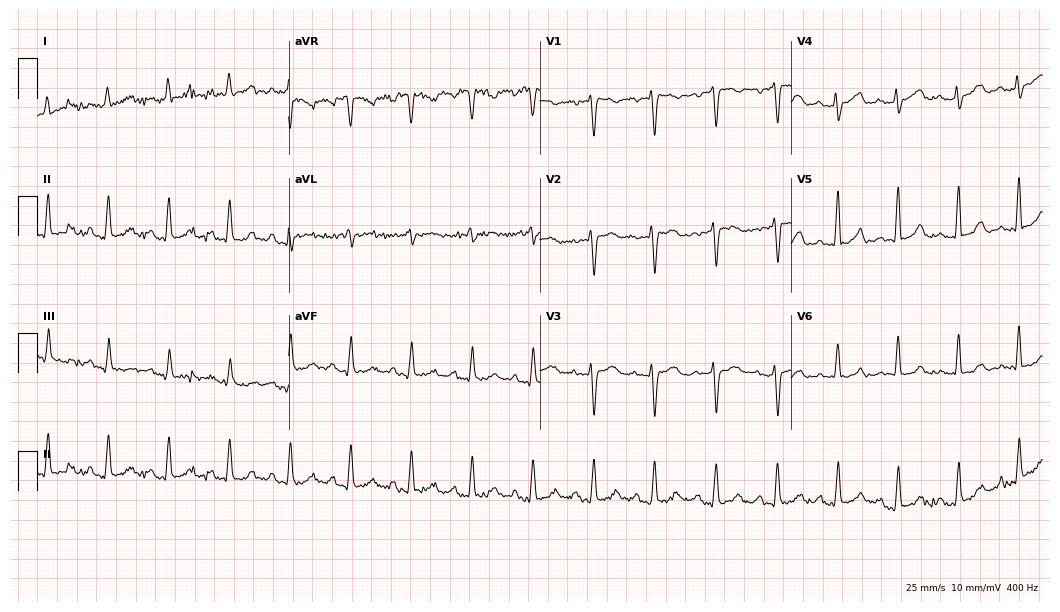
12-lead ECG (10.2-second recording at 400 Hz) from a 54-year-old woman. Labelled as a normal ECG.